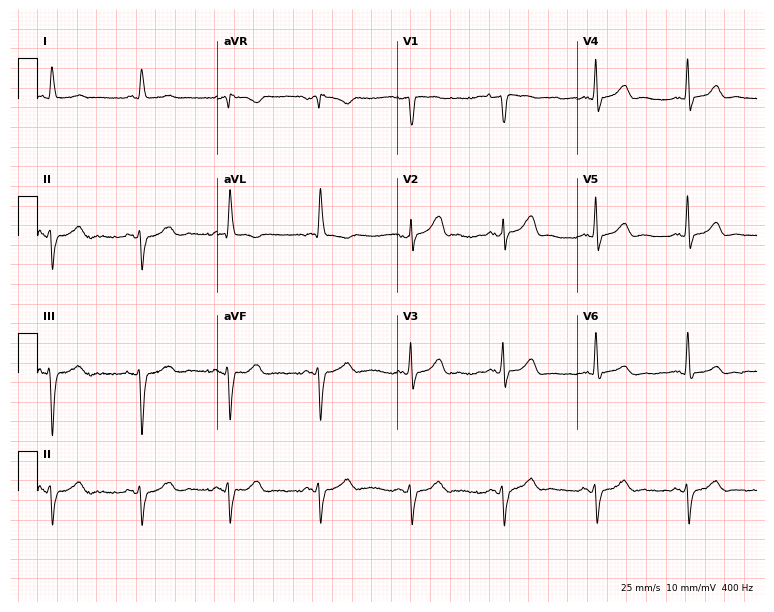
12-lead ECG from a male, 76 years old. Screened for six findings — first-degree AV block, right bundle branch block, left bundle branch block, sinus bradycardia, atrial fibrillation, sinus tachycardia — none is recorded.